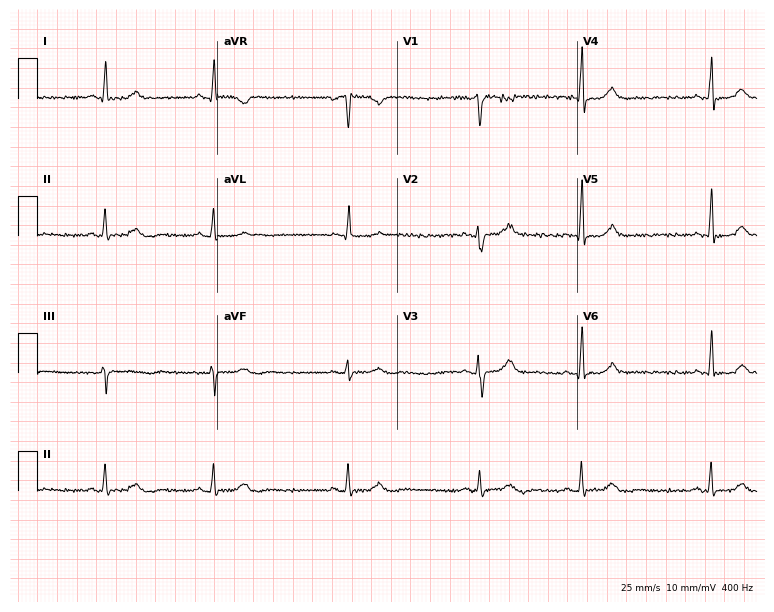
Standard 12-lead ECG recorded from a 36-year-old female patient (7.3-second recording at 400 Hz). The tracing shows sinus bradycardia (a sinus rate of 50 beats per minute or less), atrial fibrillation.